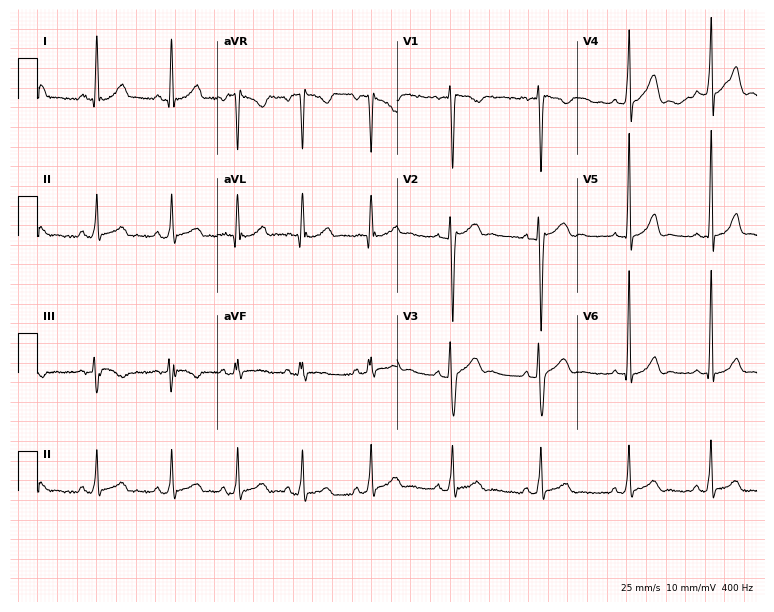
12-lead ECG from a male patient, 21 years old. Labelled as a normal ECG.